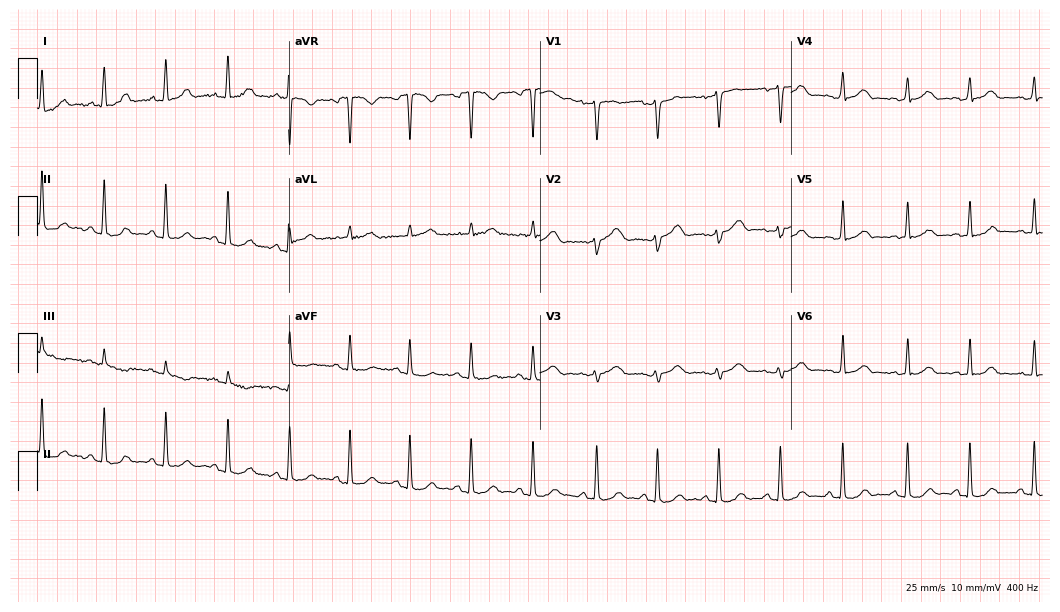
Resting 12-lead electrocardiogram. Patient: a 32-year-old woman. None of these six findings is recorded: first-degree AV block, right bundle branch block (RBBB), left bundle branch block (LBBB), sinus bradycardia, atrial fibrillation (AF), sinus tachycardia. Other findings, if any, are not listed.